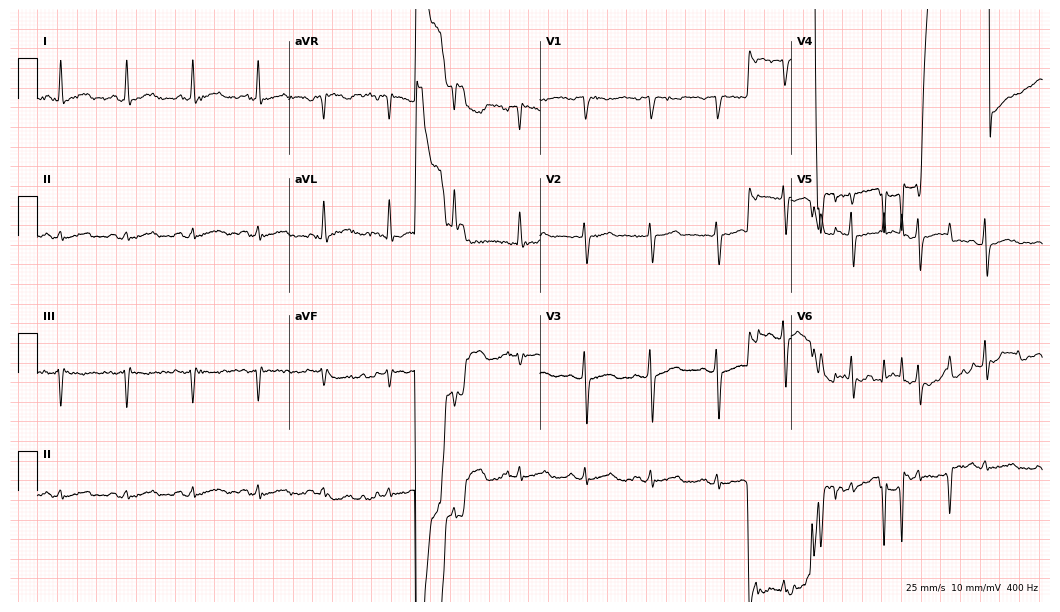
Electrocardiogram (10.2-second recording at 400 Hz), a 50-year-old female. Of the six screened findings (first-degree AV block, right bundle branch block (RBBB), left bundle branch block (LBBB), sinus bradycardia, atrial fibrillation (AF), sinus tachycardia), none is recorded.